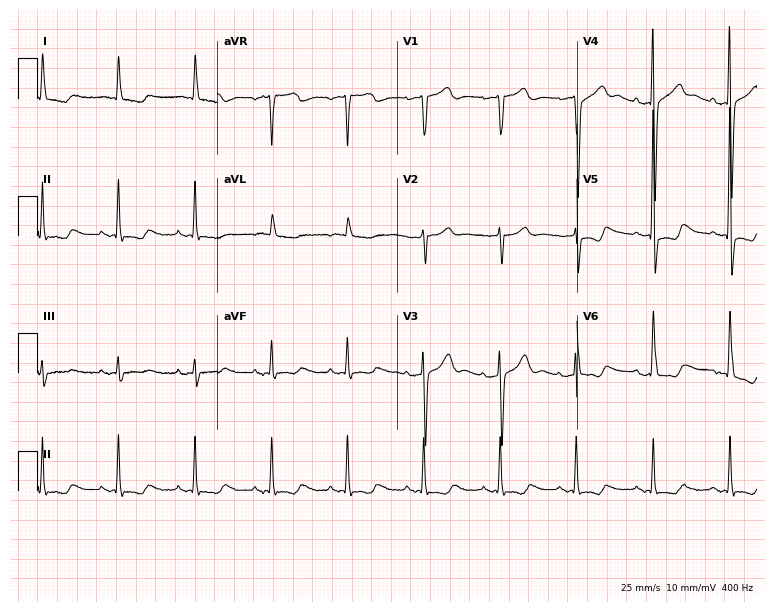
Electrocardiogram, a 74-year-old female. Of the six screened findings (first-degree AV block, right bundle branch block, left bundle branch block, sinus bradycardia, atrial fibrillation, sinus tachycardia), none is recorded.